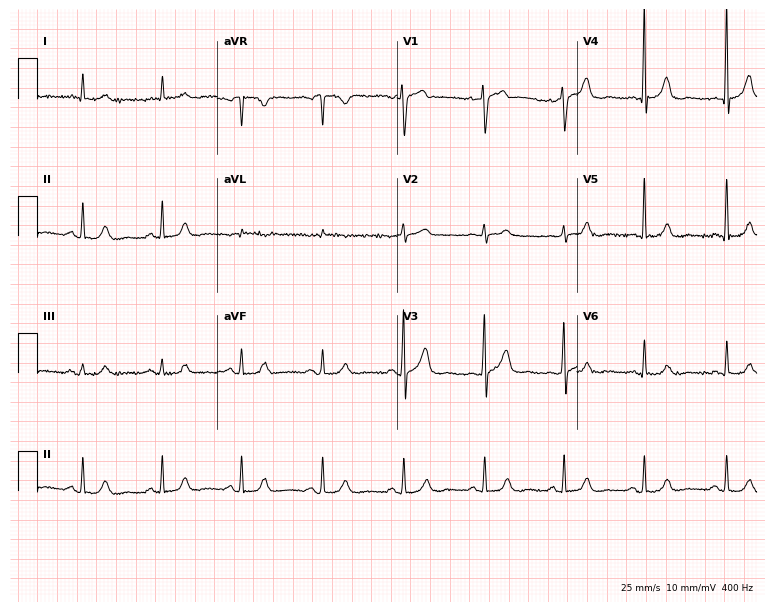
ECG (7.3-second recording at 400 Hz) — a 70-year-old male. Labelled as a normal ECG.